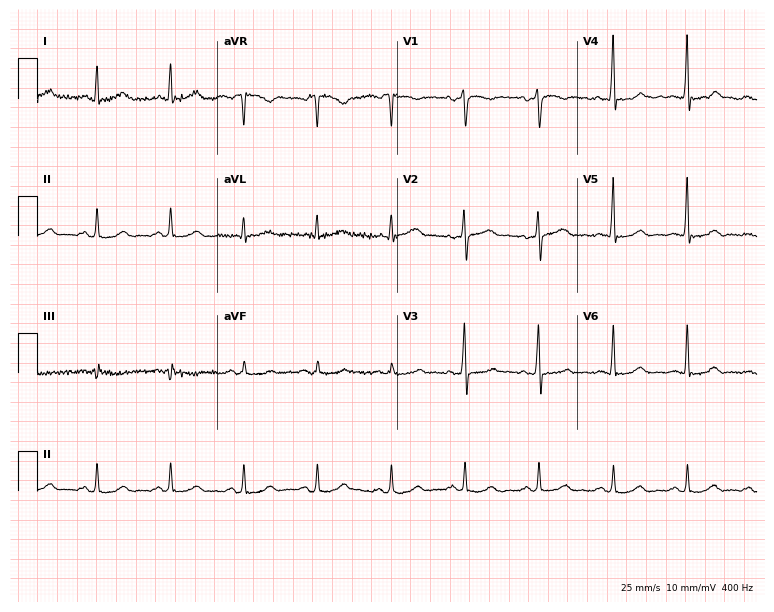
ECG — a 60-year-old female patient. Screened for six findings — first-degree AV block, right bundle branch block, left bundle branch block, sinus bradycardia, atrial fibrillation, sinus tachycardia — none is recorded. Other findings, if any, are not listed.